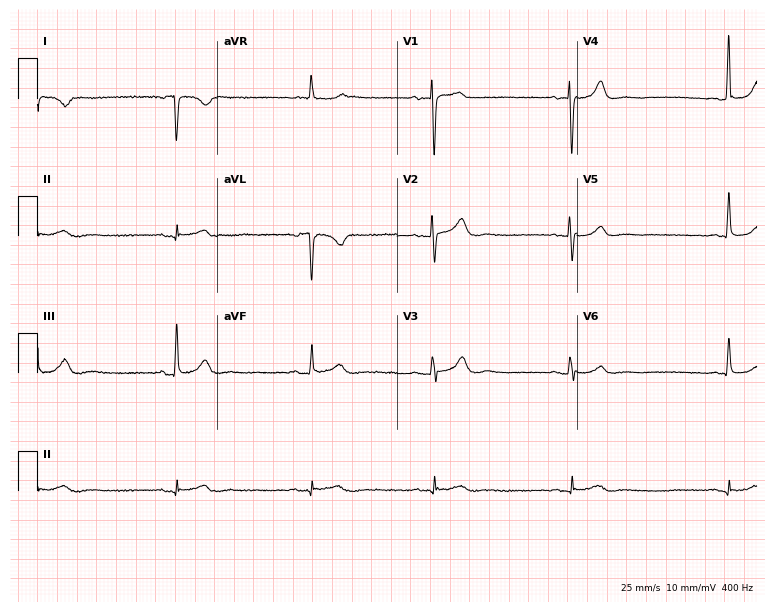
Electrocardiogram, a female, 81 years old. Of the six screened findings (first-degree AV block, right bundle branch block (RBBB), left bundle branch block (LBBB), sinus bradycardia, atrial fibrillation (AF), sinus tachycardia), none is recorded. Other findings, if any, are not listed.